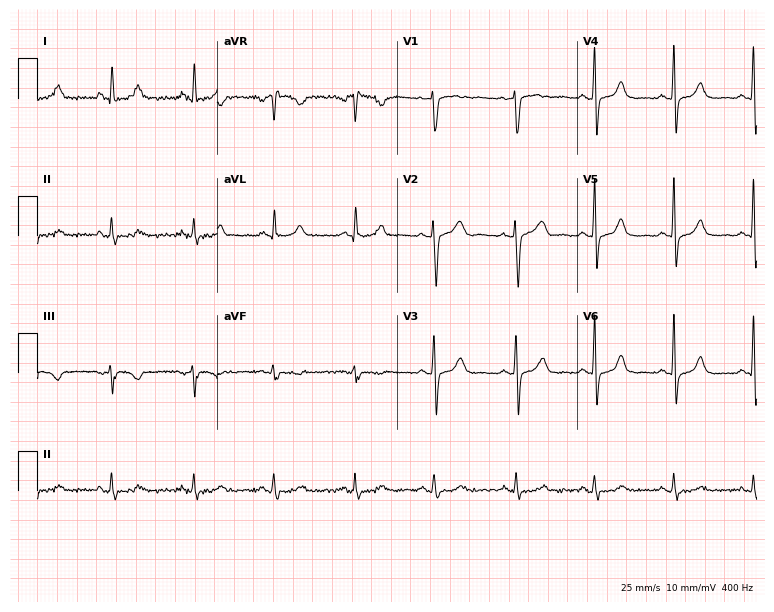
12-lead ECG from a 41-year-old woman (7.3-second recording at 400 Hz). No first-degree AV block, right bundle branch block, left bundle branch block, sinus bradycardia, atrial fibrillation or sinus tachycardia recorded for this tracing.